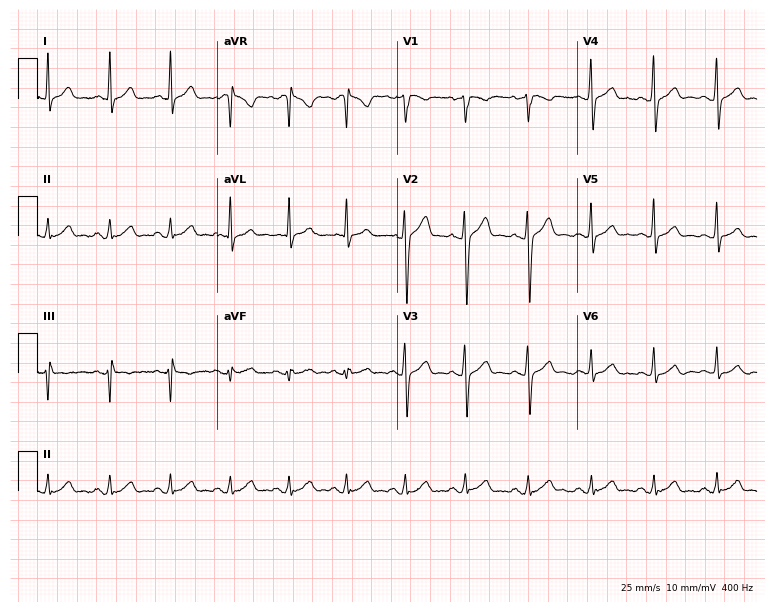
ECG (7.3-second recording at 400 Hz) — a 41-year-old man. Labelled as a normal ECG.